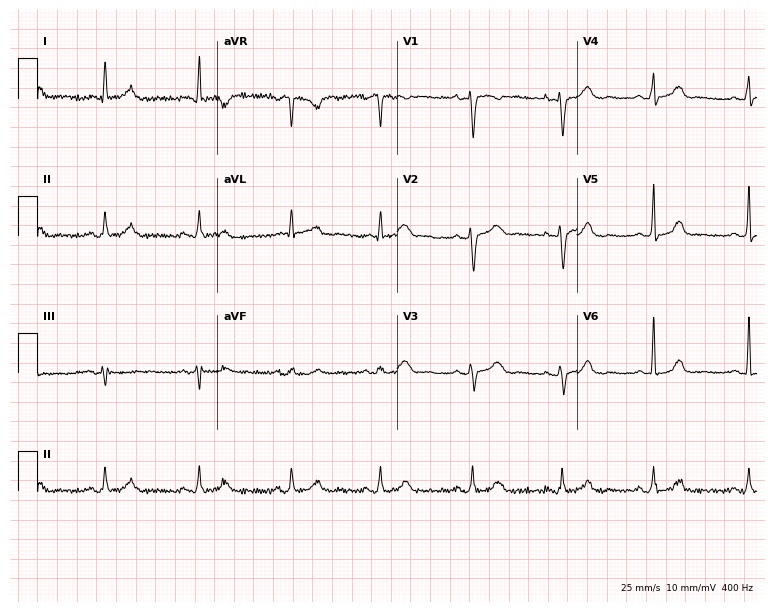
ECG — a 42-year-old female patient. Labelled as a normal ECG.